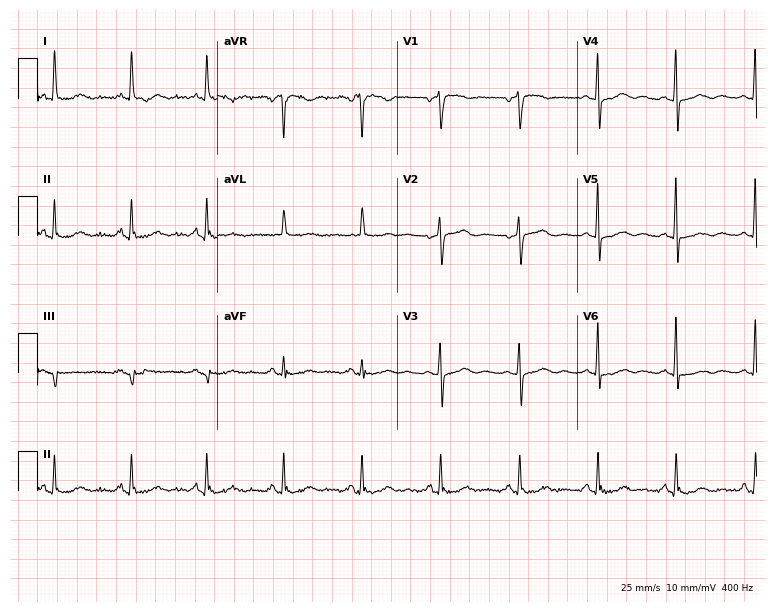
Standard 12-lead ECG recorded from a 78-year-old female patient (7.3-second recording at 400 Hz). None of these six findings is recorded: first-degree AV block, right bundle branch block, left bundle branch block, sinus bradycardia, atrial fibrillation, sinus tachycardia. Findings outside these six are not listed.